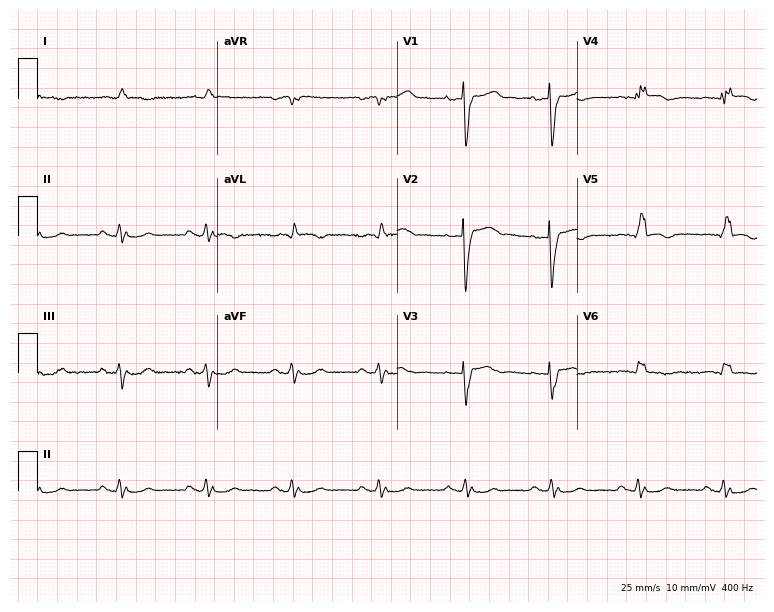
12-lead ECG from a 70-year-old male patient. Screened for six findings — first-degree AV block, right bundle branch block (RBBB), left bundle branch block (LBBB), sinus bradycardia, atrial fibrillation (AF), sinus tachycardia — none is recorded.